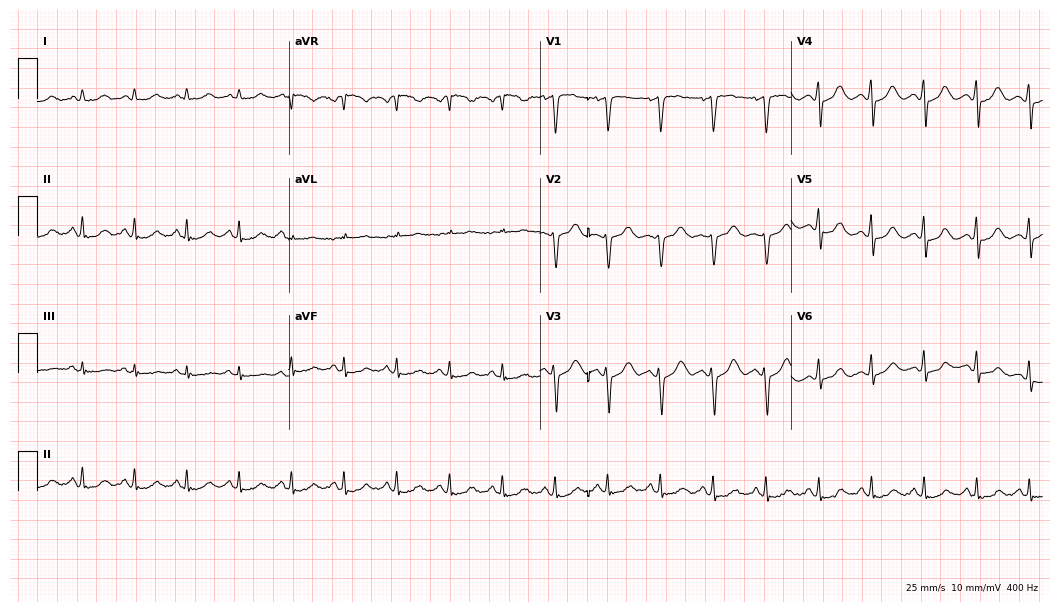
Standard 12-lead ECG recorded from a woman, 39 years old. None of these six findings is recorded: first-degree AV block, right bundle branch block, left bundle branch block, sinus bradycardia, atrial fibrillation, sinus tachycardia.